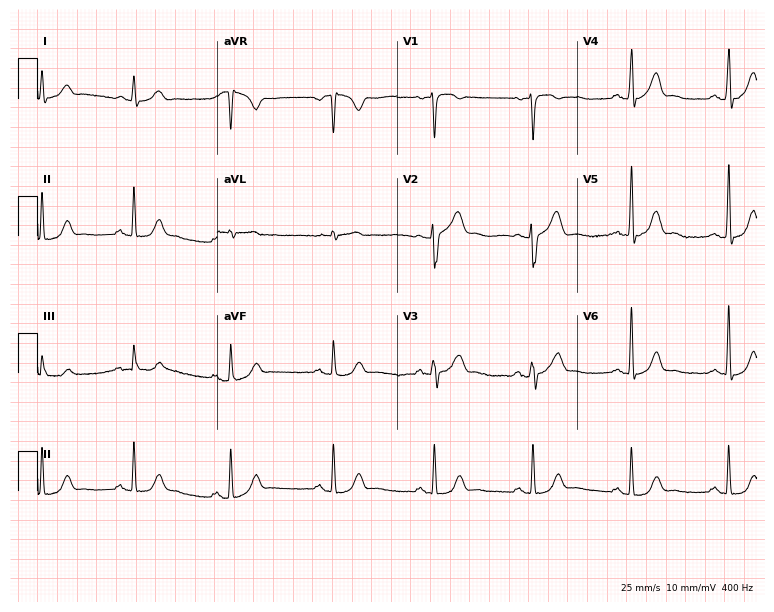
Electrocardiogram, a male patient, 58 years old. Overall reading on record: normal ECG.